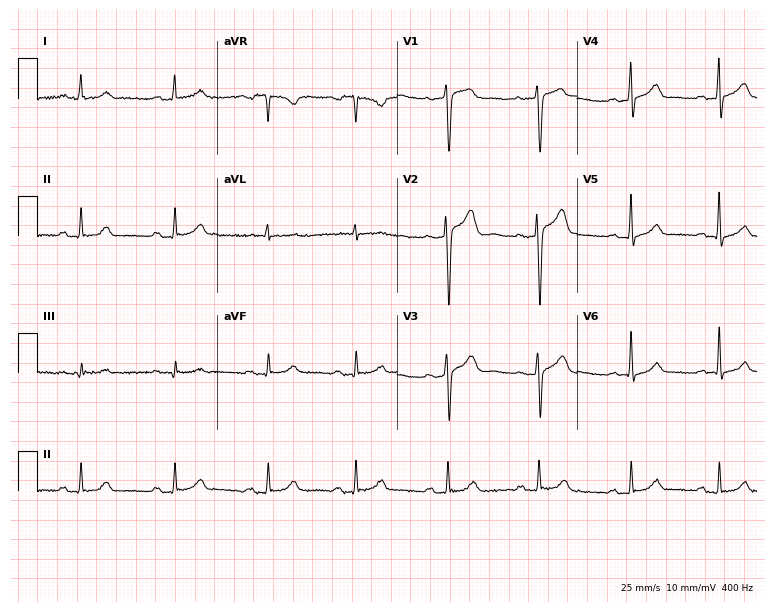
ECG (7.3-second recording at 400 Hz) — a man, 32 years old. Labelled as a normal ECG.